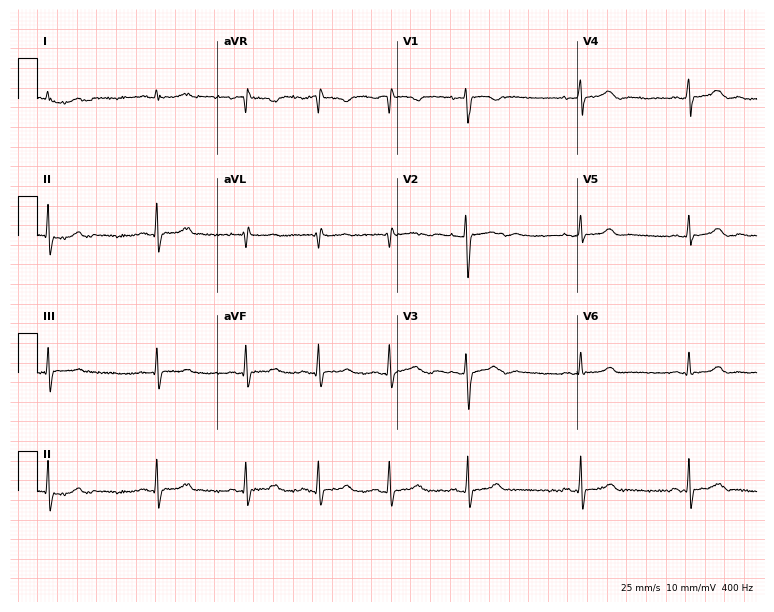
12-lead ECG from a woman, 19 years old (7.3-second recording at 400 Hz). Recorded interpretation: within normal limits.